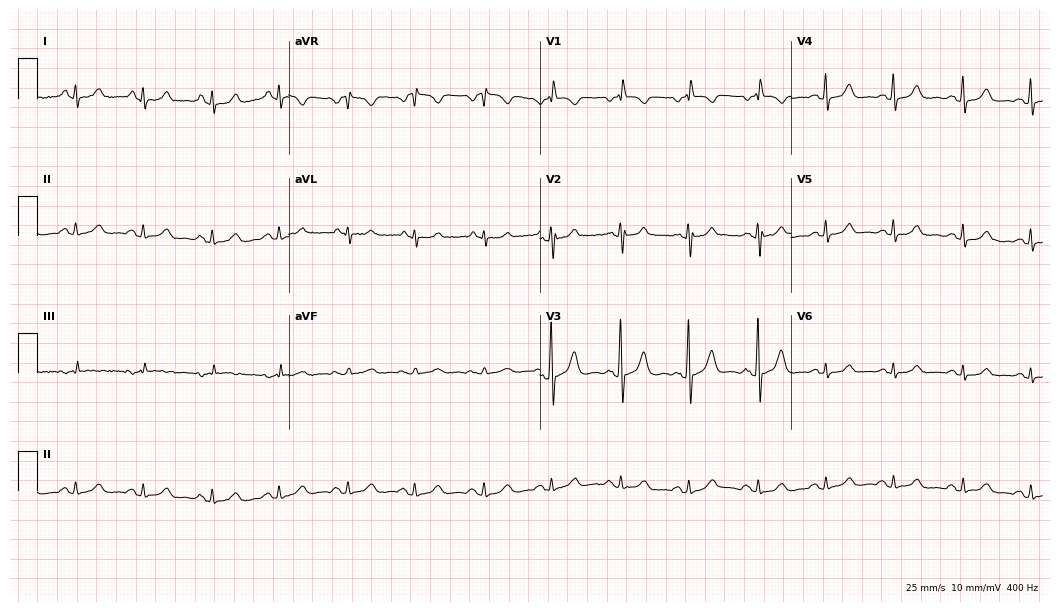
12-lead ECG from a woman, 81 years old (10.2-second recording at 400 Hz). Recorded interpretation: within normal limits.